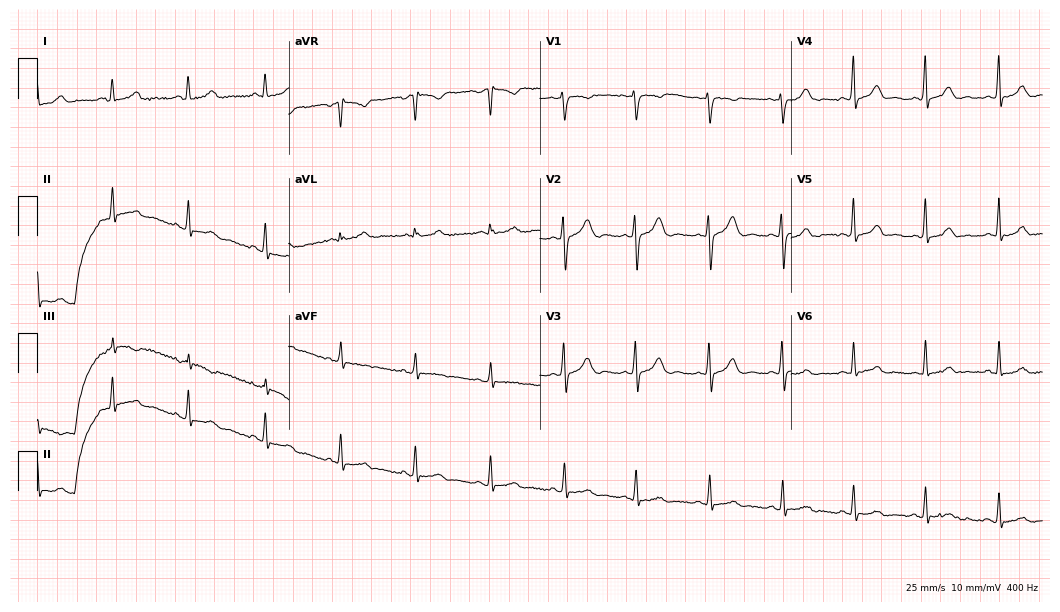
12-lead ECG from a 19-year-old female (10.2-second recording at 400 Hz). Recorded interpretation: within normal limits.